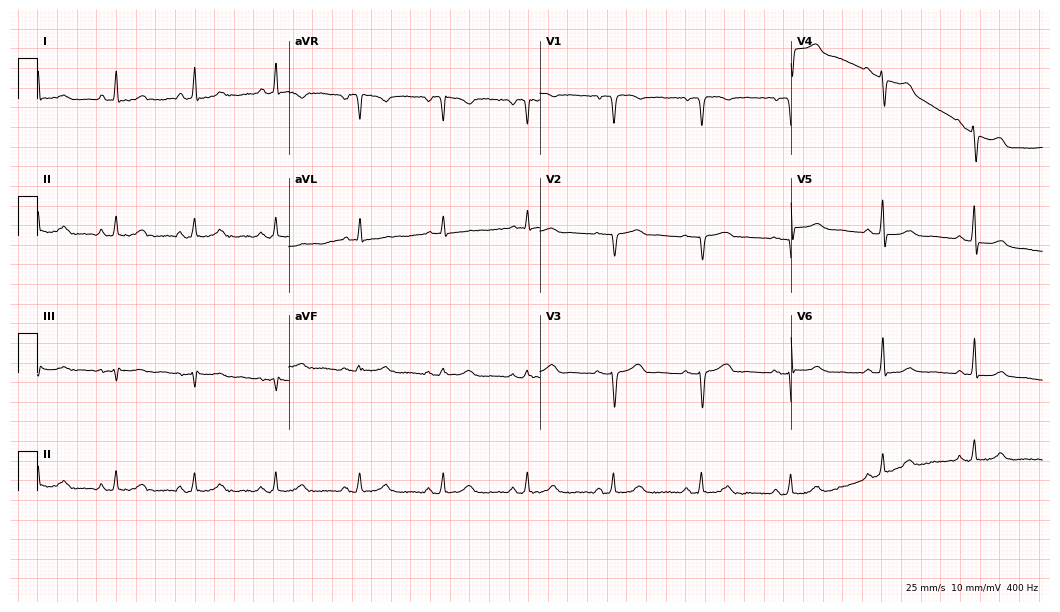
Resting 12-lead electrocardiogram. Patient: a 49-year-old female. None of these six findings is recorded: first-degree AV block, right bundle branch block, left bundle branch block, sinus bradycardia, atrial fibrillation, sinus tachycardia.